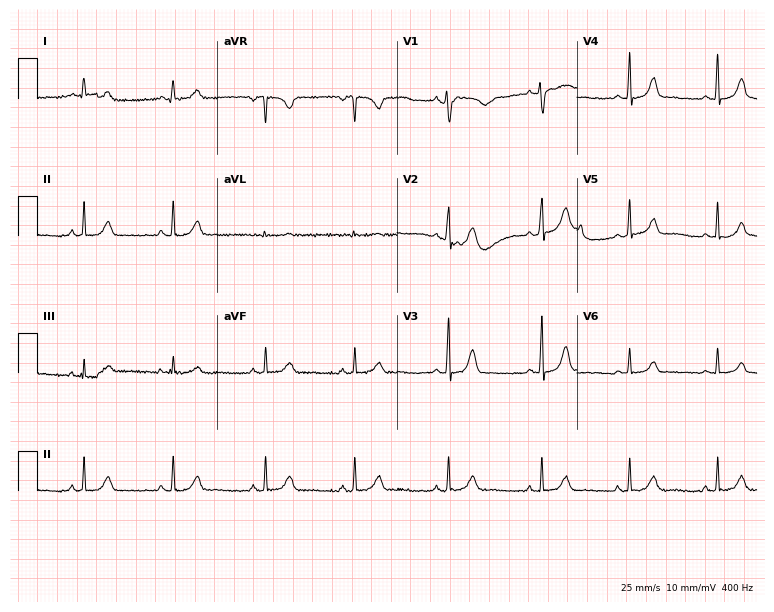
Resting 12-lead electrocardiogram (7.3-second recording at 400 Hz). Patient: a 32-year-old woman. Read as a normal ECG.